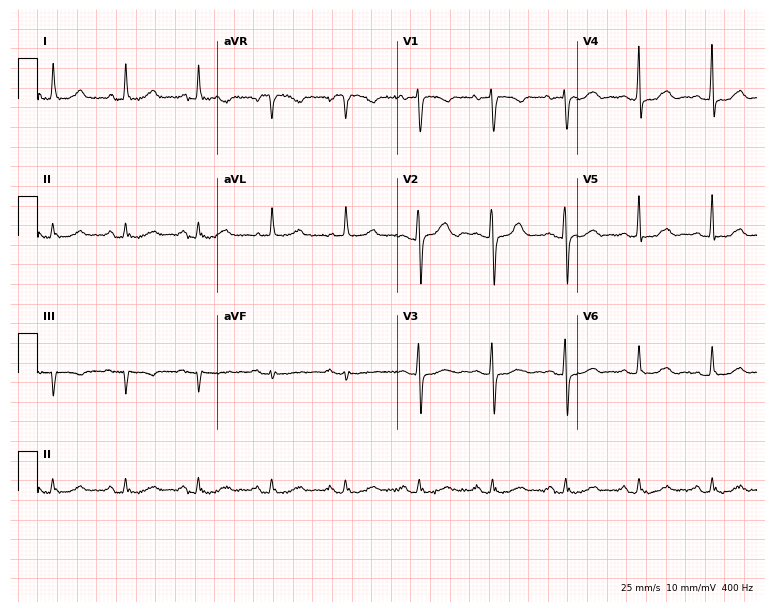
Standard 12-lead ECG recorded from a 69-year-old woman. None of these six findings is recorded: first-degree AV block, right bundle branch block, left bundle branch block, sinus bradycardia, atrial fibrillation, sinus tachycardia.